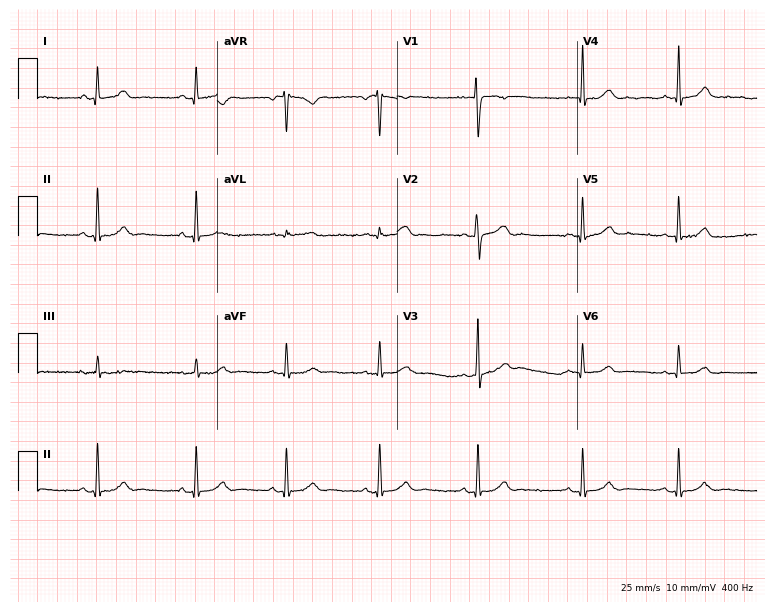
12-lead ECG from a 28-year-old female (7.3-second recording at 400 Hz). Recorded interpretation: within normal limits.